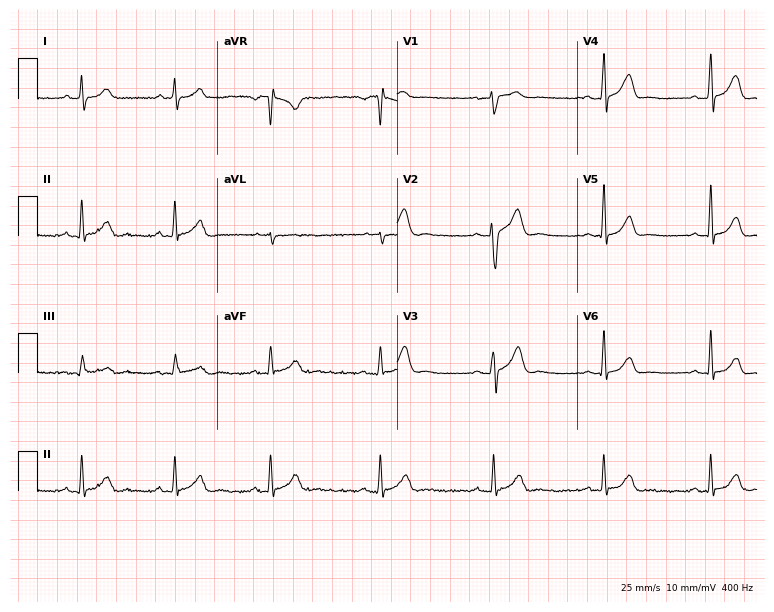
Standard 12-lead ECG recorded from a 32-year-old man. Read as a normal ECG.